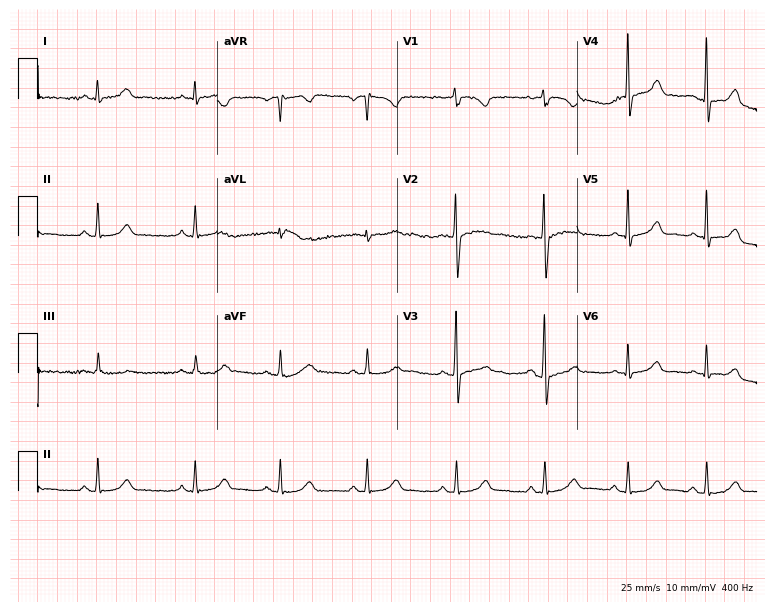
Electrocardiogram (7.3-second recording at 400 Hz), a 39-year-old female patient. Overall reading on record: normal ECG.